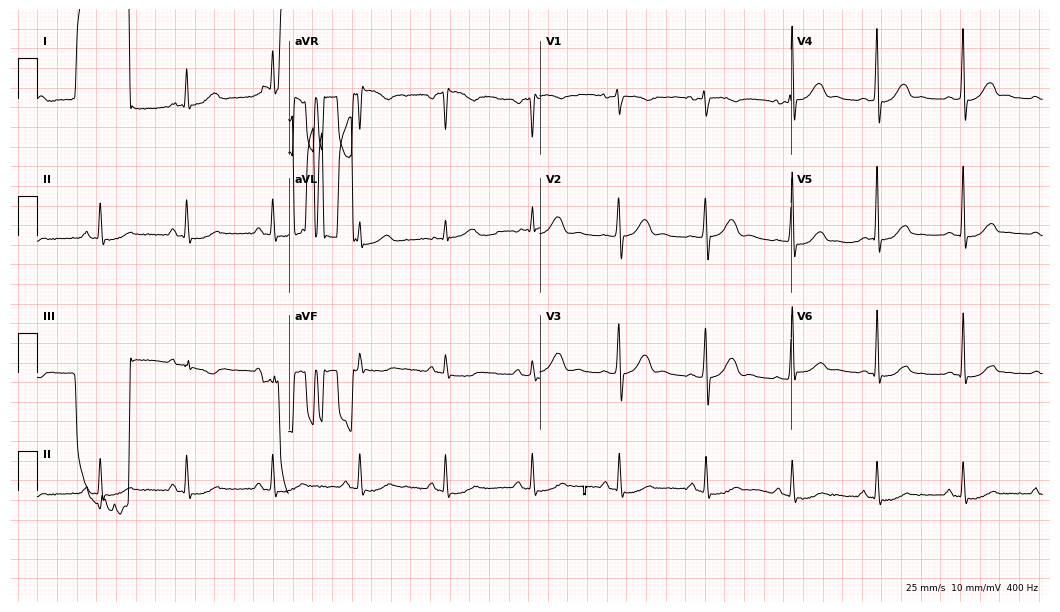
12-lead ECG from a woman, 50 years old (10.2-second recording at 400 Hz). No first-degree AV block, right bundle branch block (RBBB), left bundle branch block (LBBB), sinus bradycardia, atrial fibrillation (AF) or sinus tachycardia recorded for this tracing. Other findings, if any, are not listed.